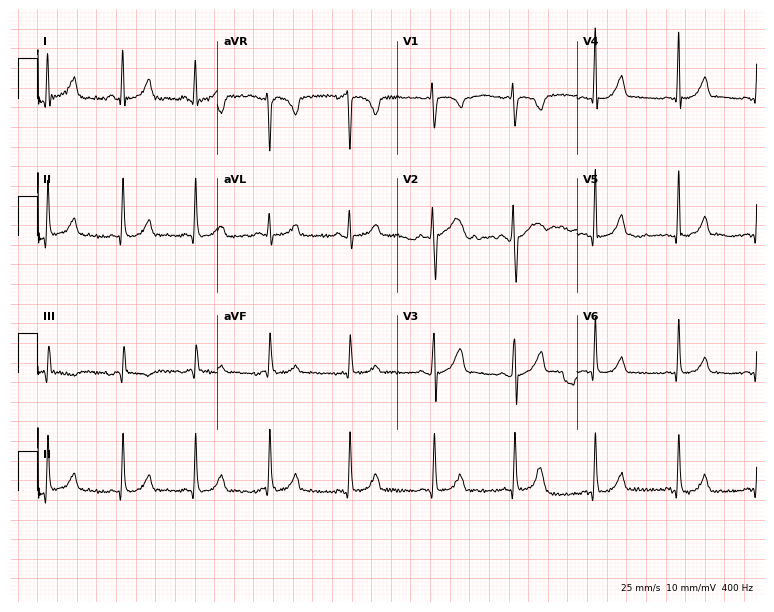
ECG (7.3-second recording at 400 Hz) — a 28-year-old female patient. Labelled as a normal ECG.